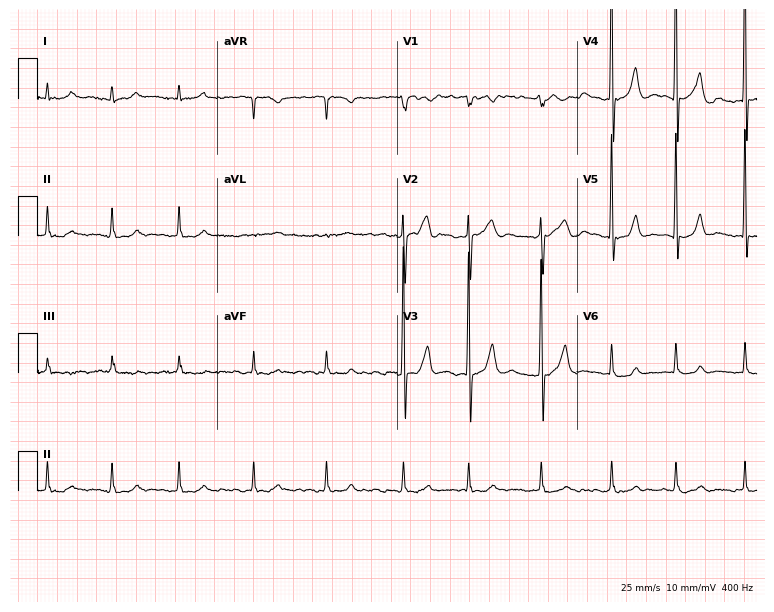
Standard 12-lead ECG recorded from a male patient, 77 years old. None of these six findings is recorded: first-degree AV block, right bundle branch block (RBBB), left bundle branch block (LBBB), sinus bradycardia, atrial fibrillation (AF), sinus tachycardia.